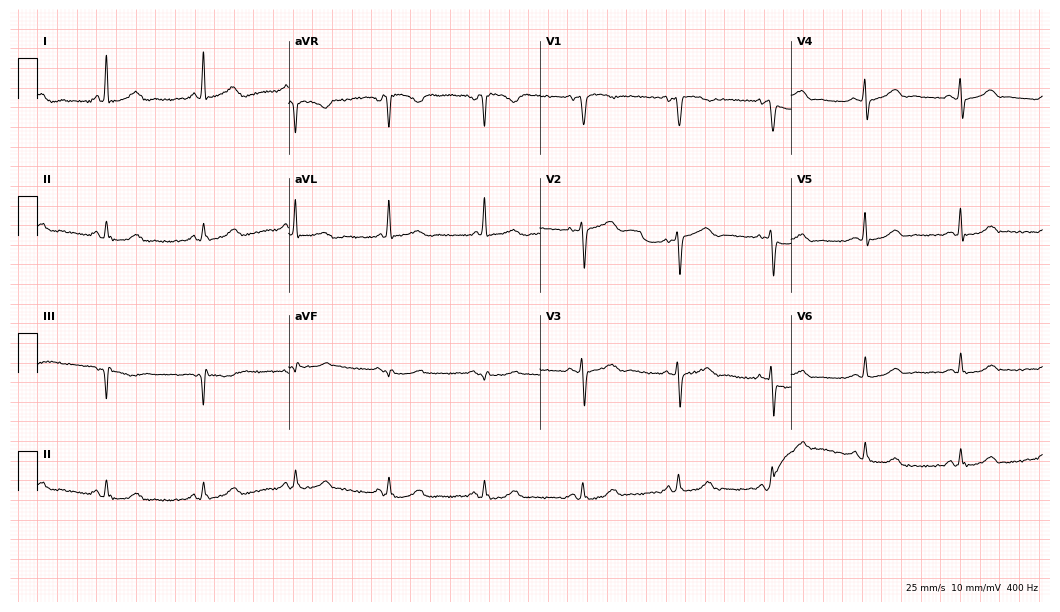
Resting 12-lead electrocardiogram. Patient: a 79-year-old female. Read as a normal ECG.